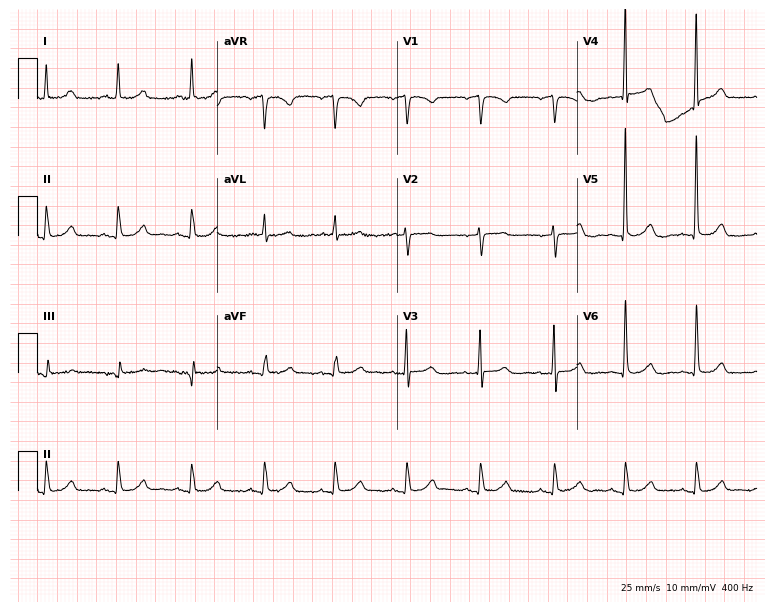
Resting 12-lead electrocardiogram (7.3-second recording at 400 Hz). Patient: an 81-year-old female. None of these six findings is recorded: first-degree AV block, right bundle branch block, left bundle branch block, sinus bradycardia, atrial fibrillation, sinus tachycardia.